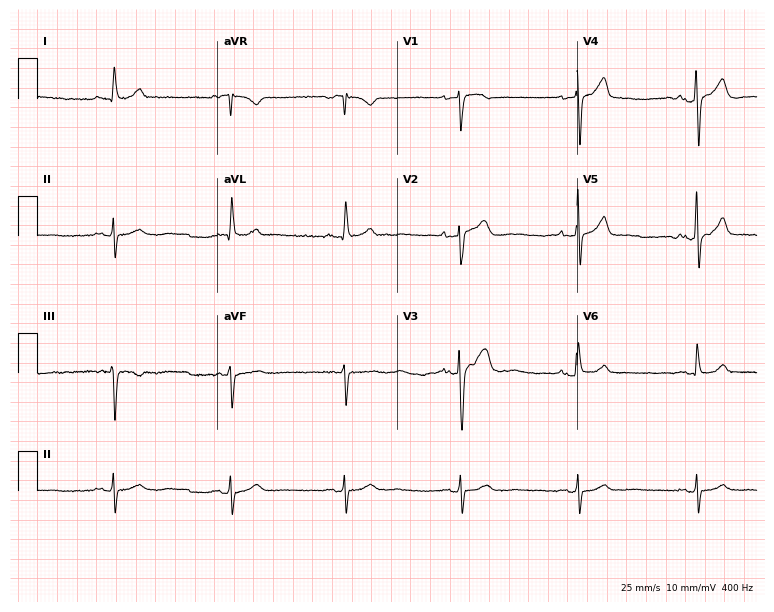
Electrocardiogram (7.3-second recording at 400 Hz), a 65-year-old male patient. Of the six screened findings (first-degree AV block, right bundle branch block, left bundle branch block, sinus bradycardia, atrial fibrillation, sinus tachycardia), none is recorded.